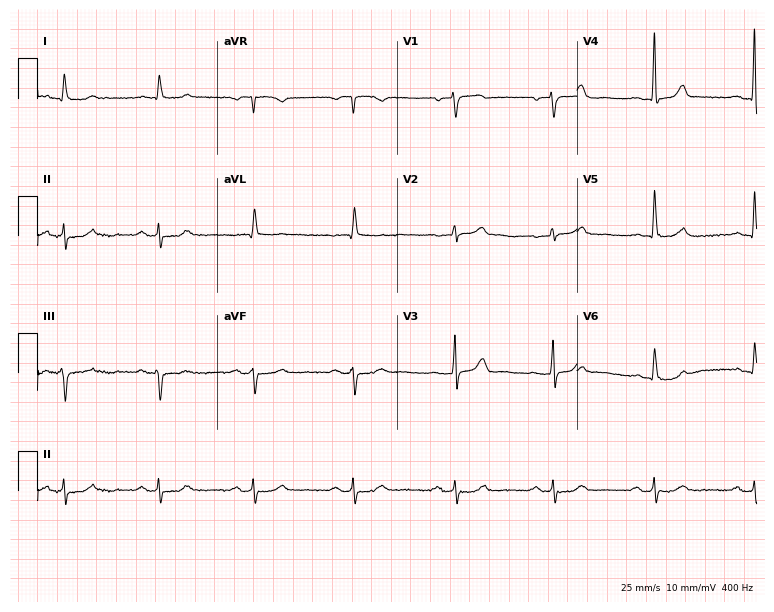
12-lead ECG from a male, 76 years old (7.3-second recording at 400 Hz). No first-degree AV block, right bundle branch block, left bundle branch block, sinus bradycardia, atrial fibrillation or sinus tachycardia recorded for this tracing.